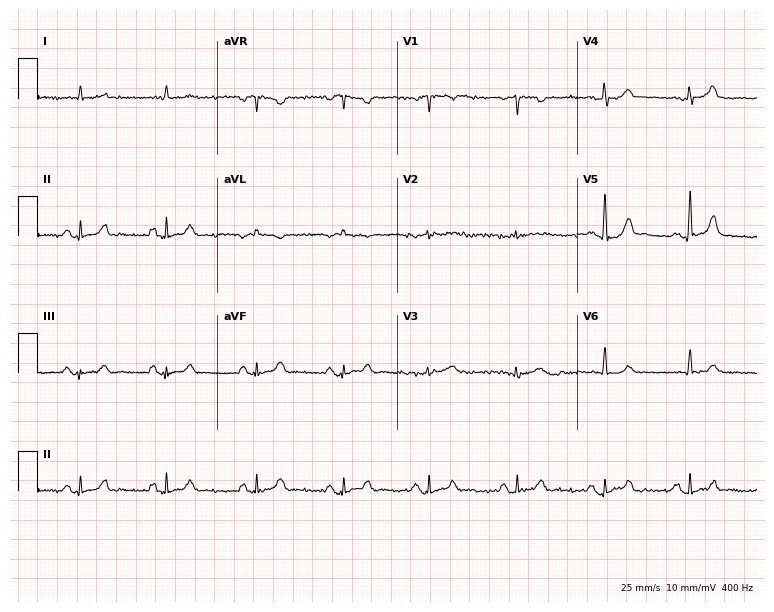
ECG — a woman, 71 years old. Labelled as a normal ECG.